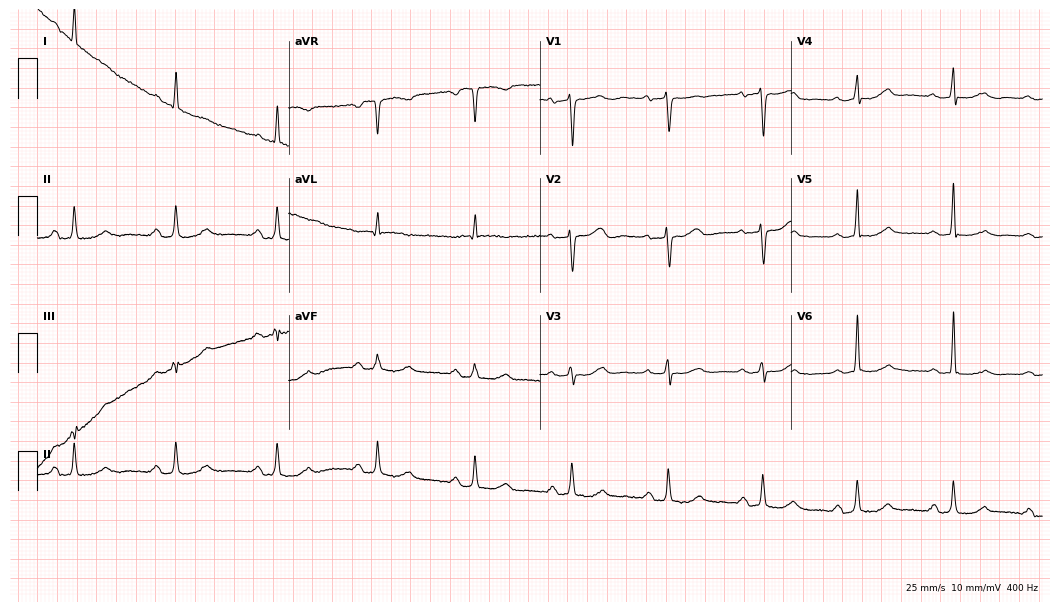
Electrocardiogram, a 79-year-old woman. Interpretation includes first-degree AV block.